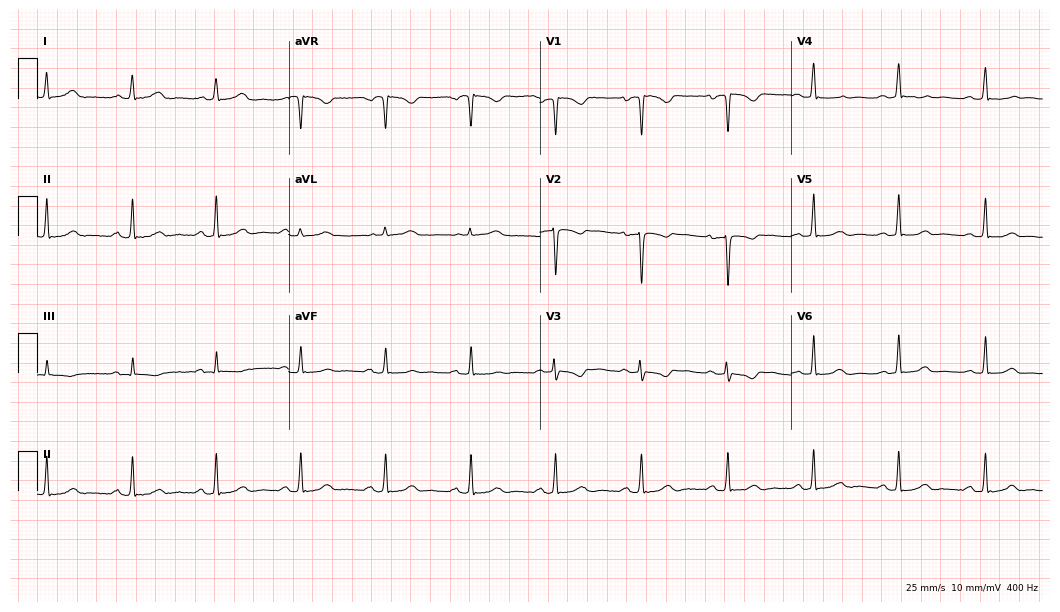
Electrocardiogram, a female, 36 years old. Overall reading on record: normal ECG.